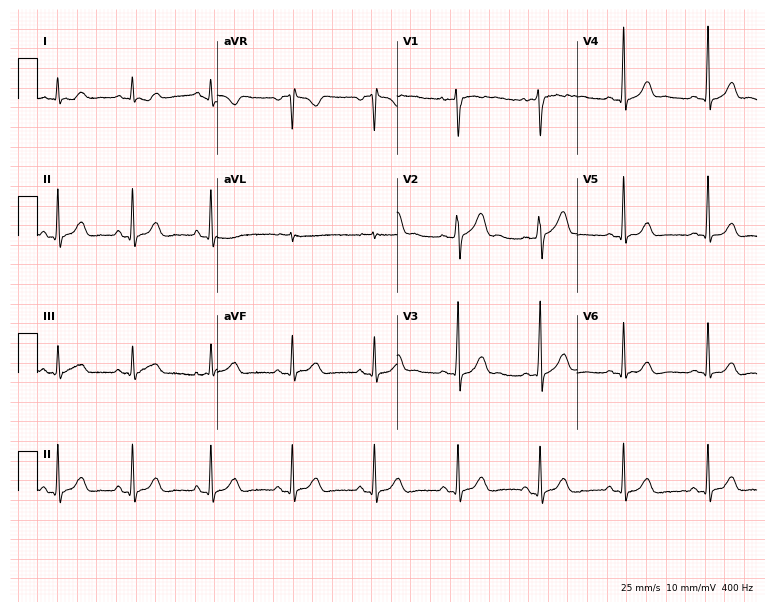
12-lead ECG from a 38-year-old female. Recorded interpretation: within normal limits.